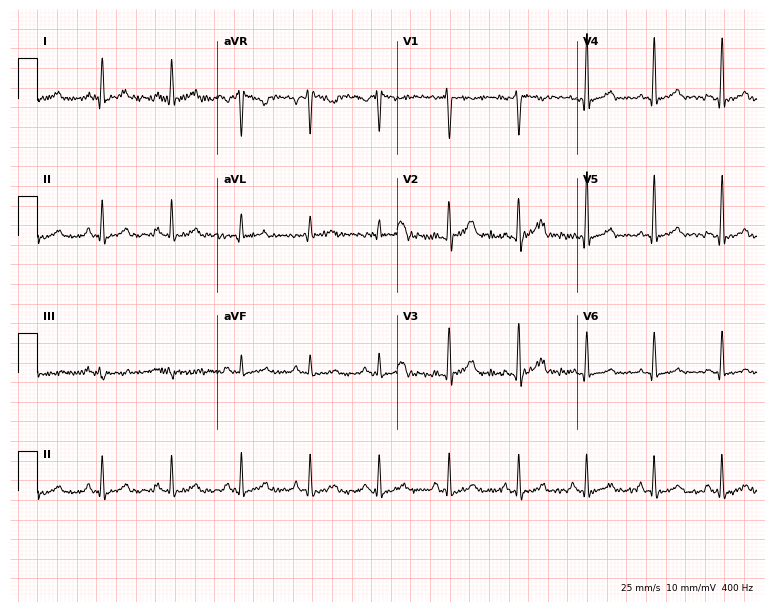
Standard 12-lead ECG recorded from a 39-year-old male patient (7.3-second recording at 400 Hz). None of these six findings is recorded: first-degree AV block, right bundle branch block (RBBB), left bundle branch block (LBBB), sinus bradycardia, atrial fibrillation (AF), sinus tachycardia. Other findings, if any, are not listed.